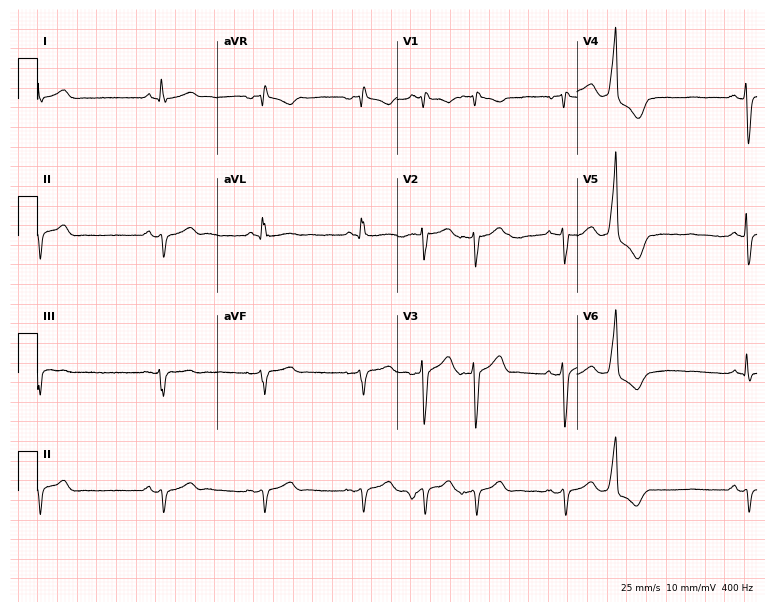
ECG — a 63-year-old man. Screened for six findings — first-degree AV block, right bundle branch block, left bundle branch block, sinus bradycardia, atrial fibrillation, sinus tachycardia — none is recorded.